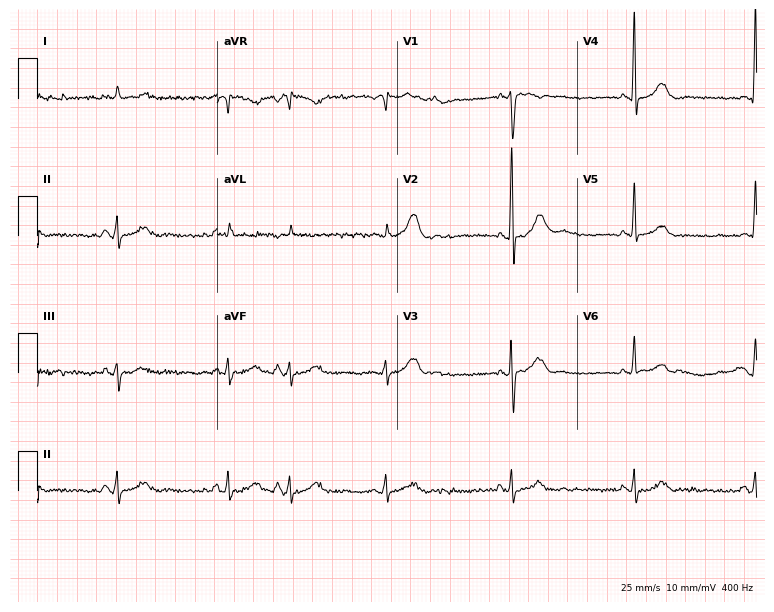
ECG (7.3-second recording at 400 Hz) — an 86-year-old man. Screened for six findings — first-degree AV block, right bundle branch block (RBBB), left bundle branch block (LBBB), sinus bradycardia, atrial fibrillation (AF), sinus tachycardia — none is recorded. Only these six findings were labelled.